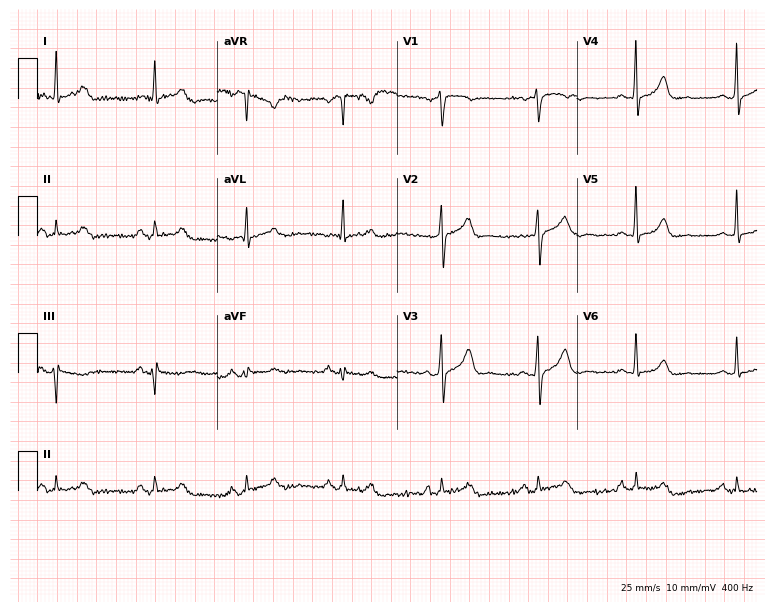
Resting 12-lead electrocardiogram. Patient: a male, 60 years old. None of these six findings is recorded: first-degree AV block, right bundle branch block (RBBB), left bundle branch block (LBBB), sinus bradycardia, atrial fibrillation (AF), sinus tachycardia. Findings outside these six are not listed.